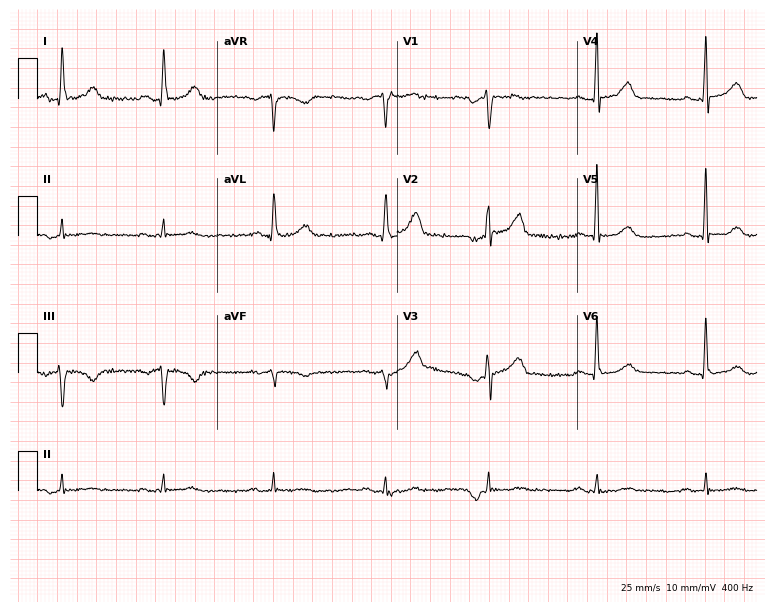
Resting 12-lead electrocardiogram. Patient: a man, 85 years old. None of these six findings is recorded: first-degree AV block, right bundle branch block, left bundle branch block, sinus bradycardia, atrial fibrillation, sinus tachycardia.